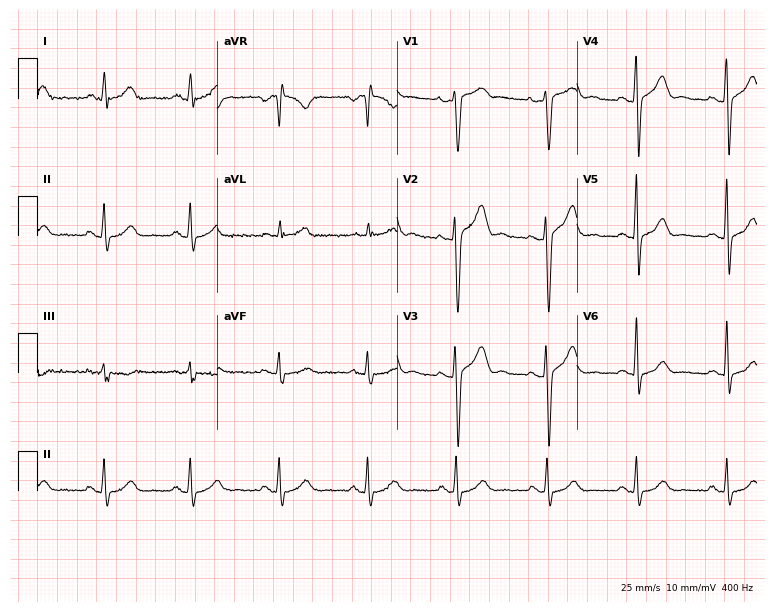
Electrocardiogram (7.3-second recording at 400 Hz), a 38-year-old man. Overall reading on record: normal ECG.